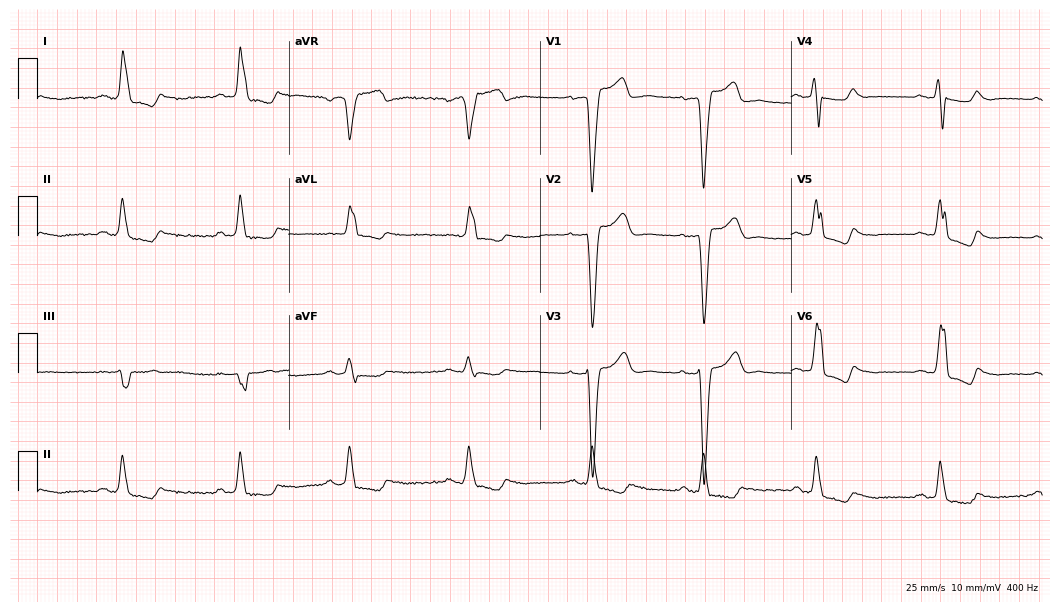
ECG (10.2-second recording at 400 Hz) — a 67-year-old woman. Findings include left bundle branch block (LBBB).